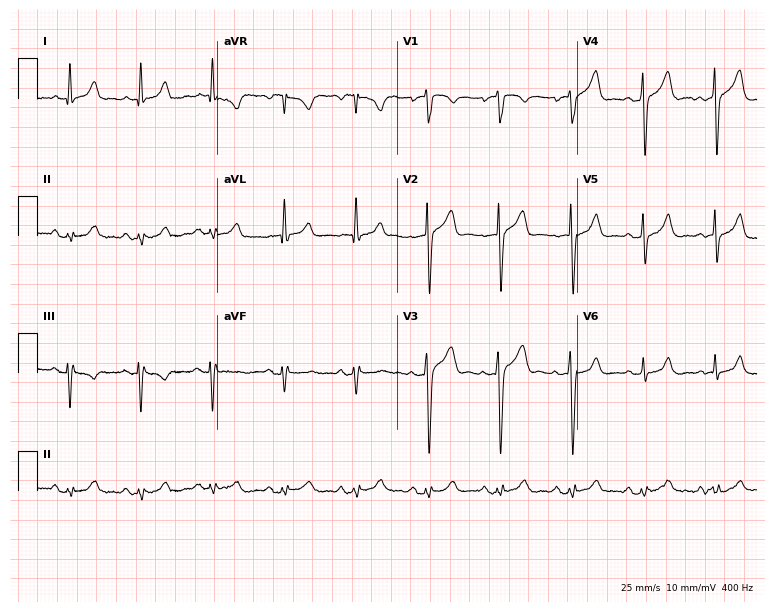
Resting 12-lead electrocardiogram. Patient: a man, 45 years old. None of these six findings is recorded: first-degree AV block, right bundle branch block, left bundle branch block, sinus bradycardia, atrial fibrillation, sinus tachycardia. Findings outside these six are not listed.